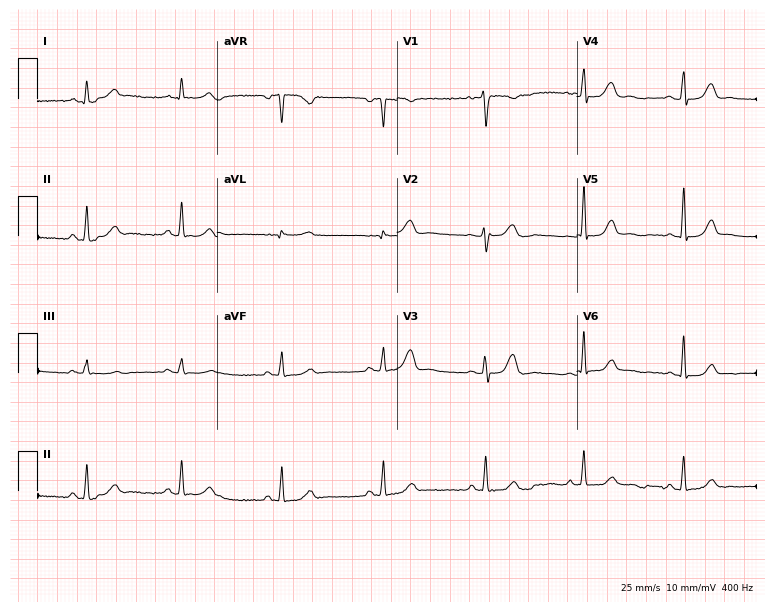
12-lead ECG (7.3-second recording at 400 Hz) from a female patient, 41 years old. Screened for six findings — first-degree AV block, right bundle branch block (RBBB), left bundle branch block (LBBB), sinus bradycardia, atrial fibrillation (AF), sinus tachycardia — none is recorded.